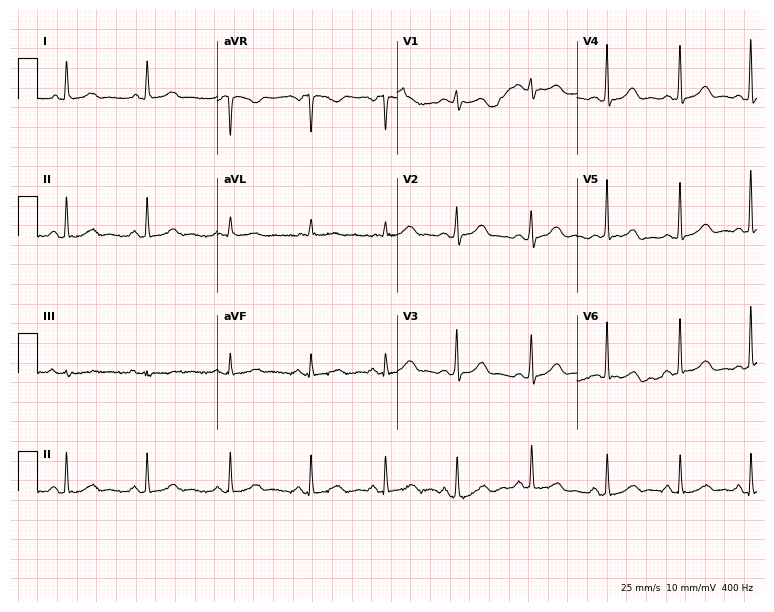
Standard 12-lead ECG recorded from a woman, 51 years old. Read as a normal ECG.